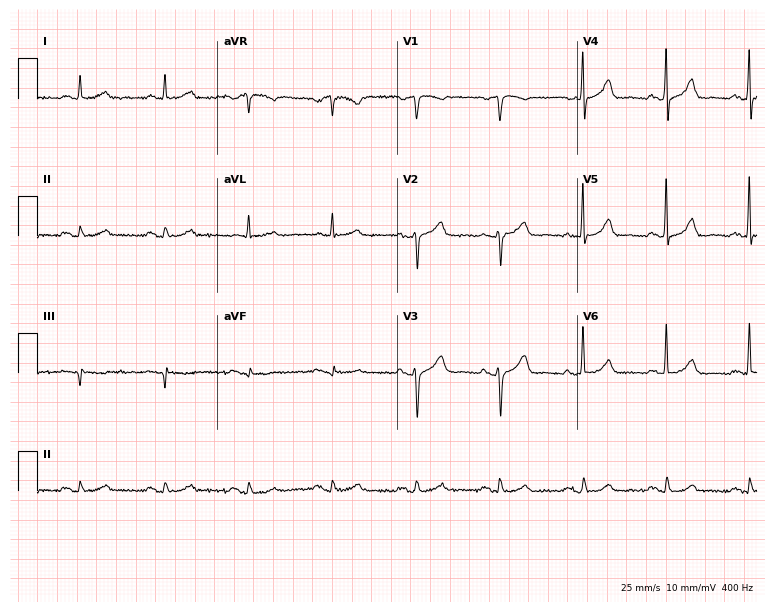
Electrocardiogram, a male, 84 years old. Of the six screened findings (first-degree AV block, right bundle branch block, left bundle branch block, sinus bradycardia, atrial fibrillation, sinus tachycardia), none is recorded. Only these six findings were labelled.